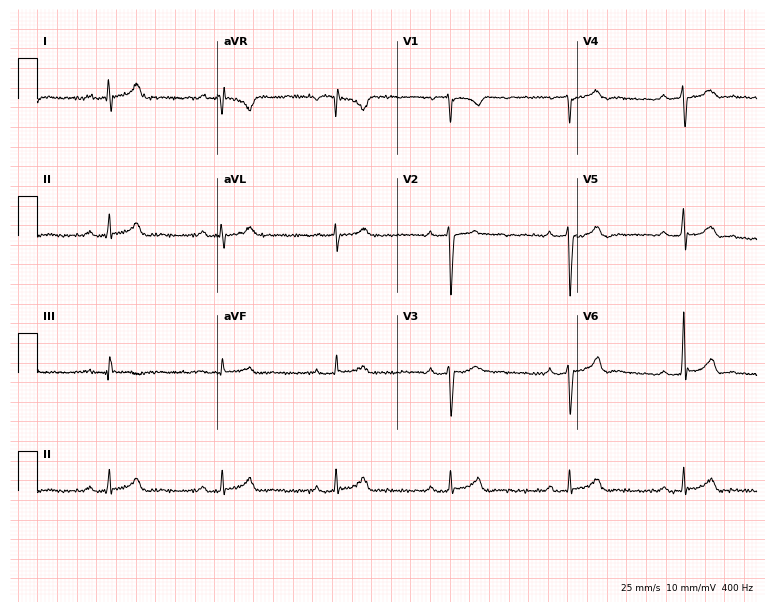
Resting 12-lead electrocardiogram. Patient: a 39-year-old man. Read as a normal ECG.